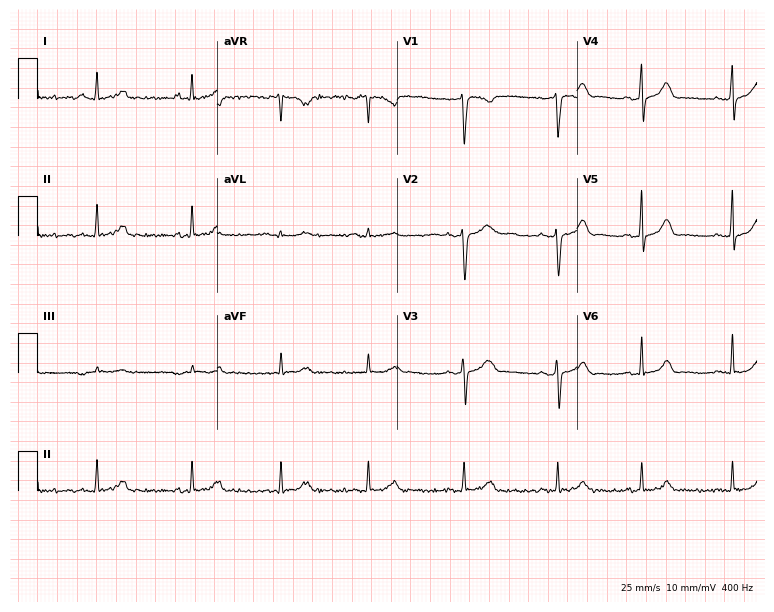
12-lead ECG from a 29-year-old female patient. Labelled as a normal ECG.